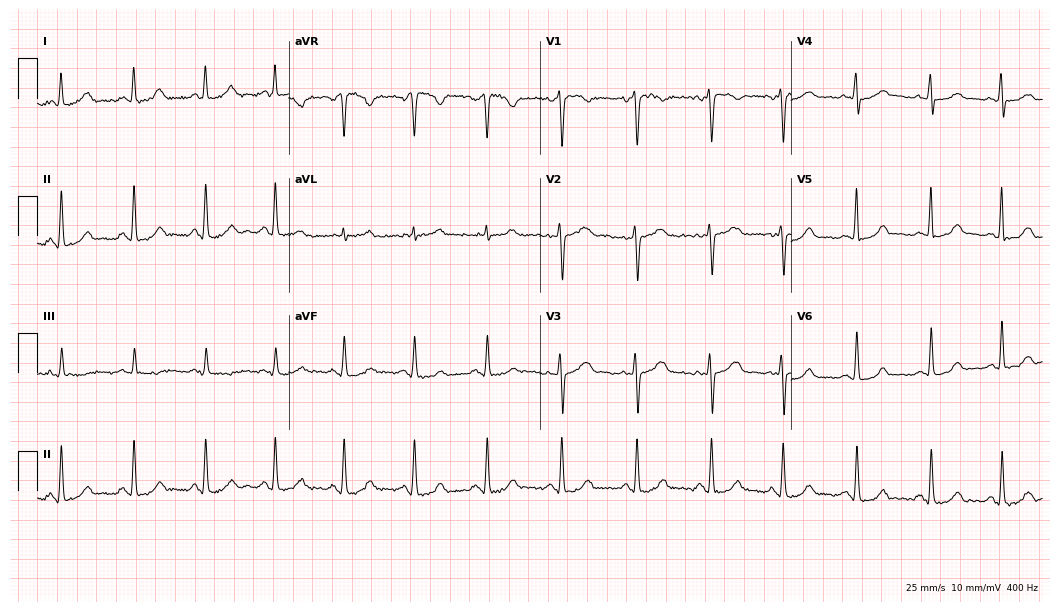
Resting 12-lead electrocardiogram. Patient: a 35-year-old woman. Read as a normal ECG.